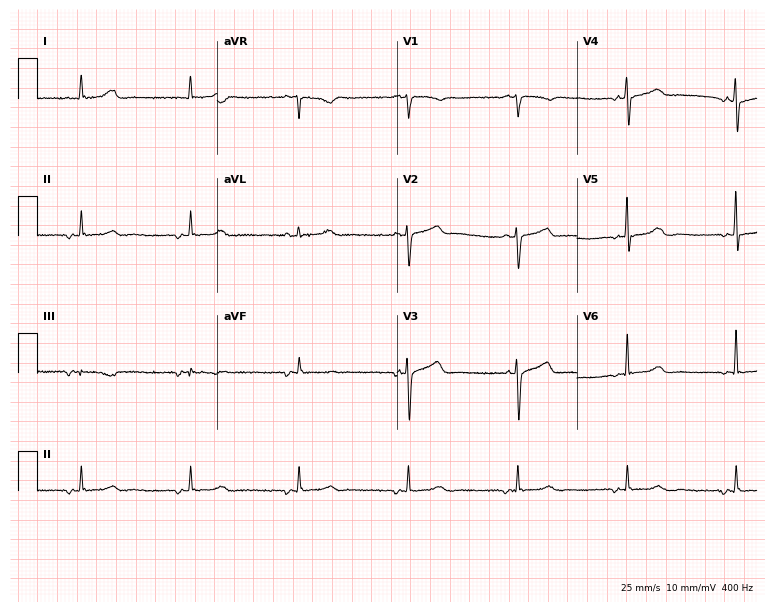
ECG — a 62-year-old female. Screened for six findings — first-degree AV block, right bundle branch block, left bundle branch block, sinus bradycardia, atrial fibrillation, sinus tachycardia — none is recorded.